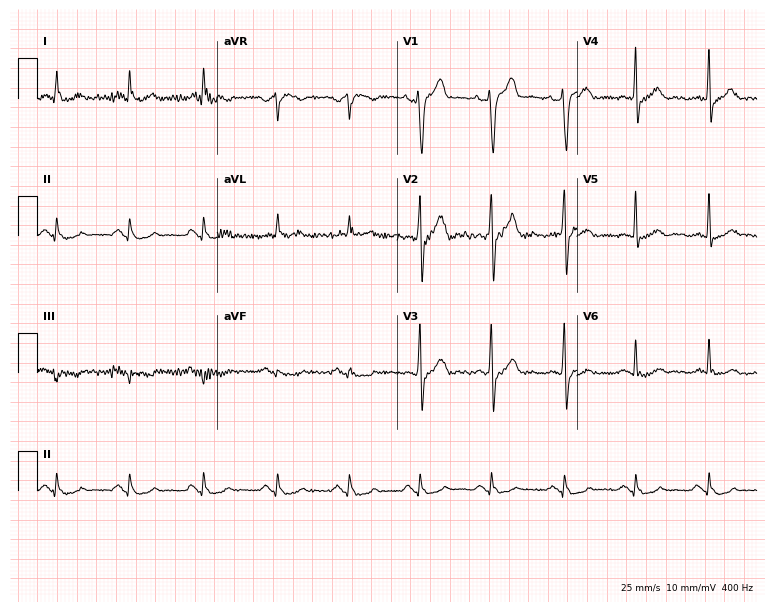
ECG — a male, 56 years old. Screened for six findings — first-degree AV block, right bundle branch block, left bundle branch block, sinus bradycardia, atrial fibrillation, sinus tachycardia — none is recorded. Other findings, if any, are not listed.